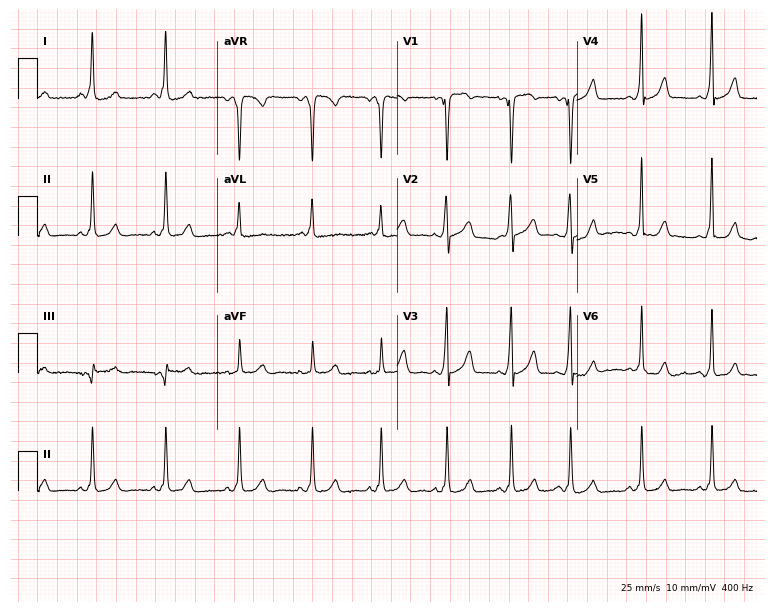
12-lead ECG from a female, 29 years old (7.3-second recording at 400 Hz). No first-degree AV block, right bundle branch block, left bundle branch block, sinus bradycardia, atrial fibrillation or sinus tachycardia recorded for this tracing. Other findings, if any, are not listed.